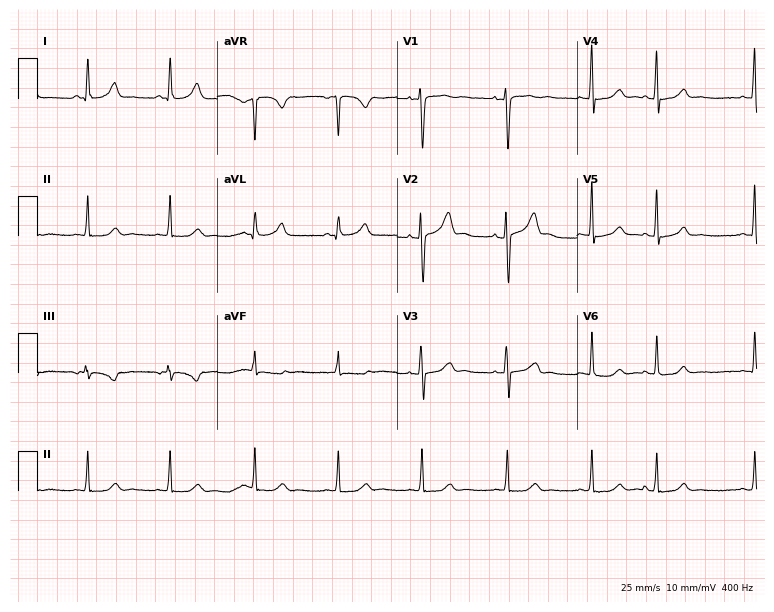
Electrocardiogram (7.3-second recording at 400 Hz), a 45-year-old female patient. Of the six screened findings (first-degree AV block, right bundle branch block (RBBB), left bundle branch block (LBBB), sinus bradycardia, atrial fibrillation (AF), sinus tachycardia), none is recorded.